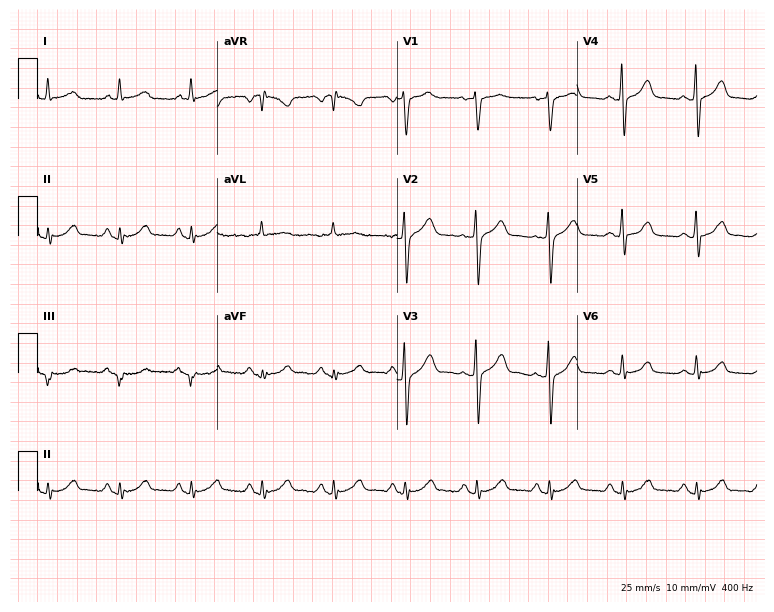
Electrocardiogram, a woman, 58 years old. Overall reading on record: normal ECG.